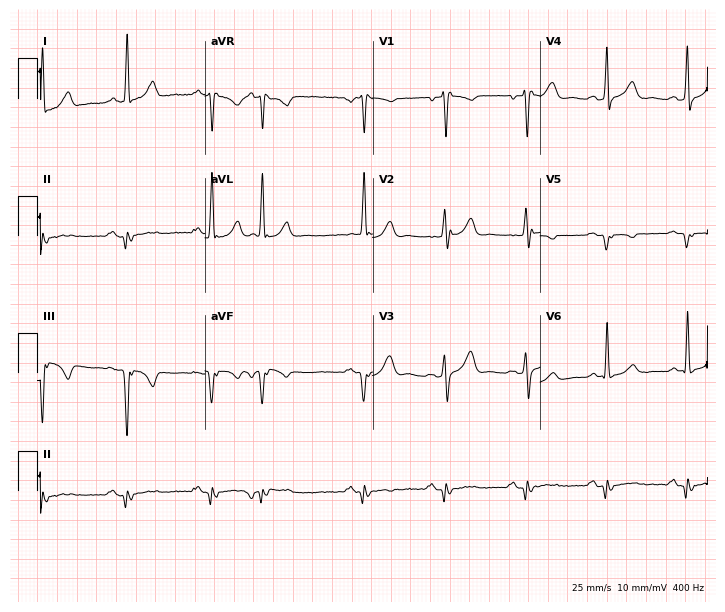
Electrocardiogram (6.8-second recording at 400 Hz), a male patient, 45 years old. Of the six screened findings (first-degree AV block, right bundle branch block (RBBB), left bundle branch block (LBBB), sinus bradycardia, atrial fibrillation (AF), sinus tachycardia), none is recorded.